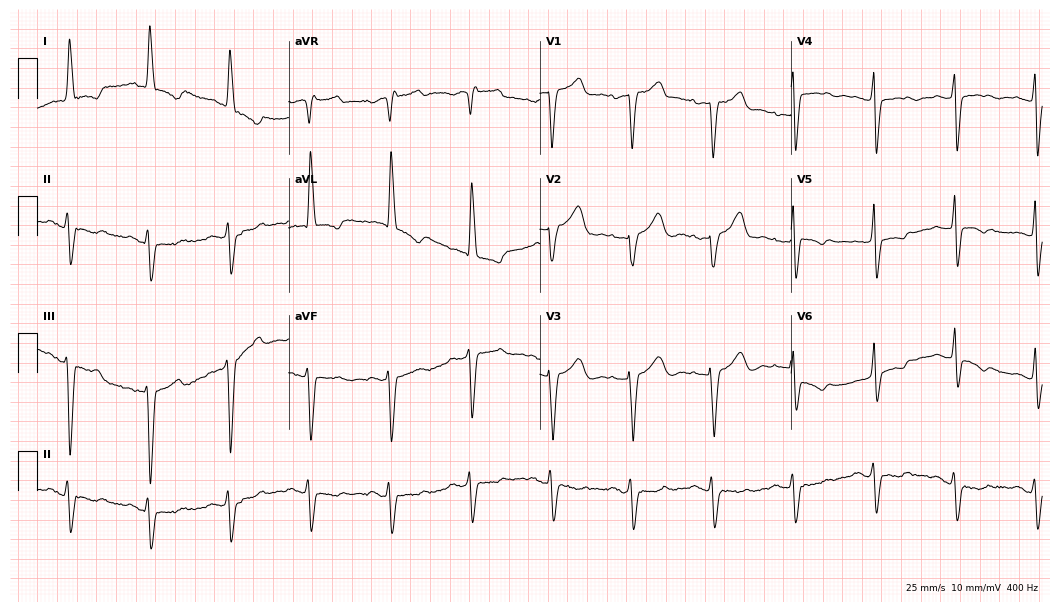
Standard 12-lead ECG recorded from a female, 77 years old (10.2-second recording at 400 Hz). None of these six findings is recorded: first-degree AV block, right bundle branch block (RBBB), left bundle branch block (LBBB), sinus bradycardia, atrial fibrillation (AF), sinus tachycardia. Findings outside these six are not listed.